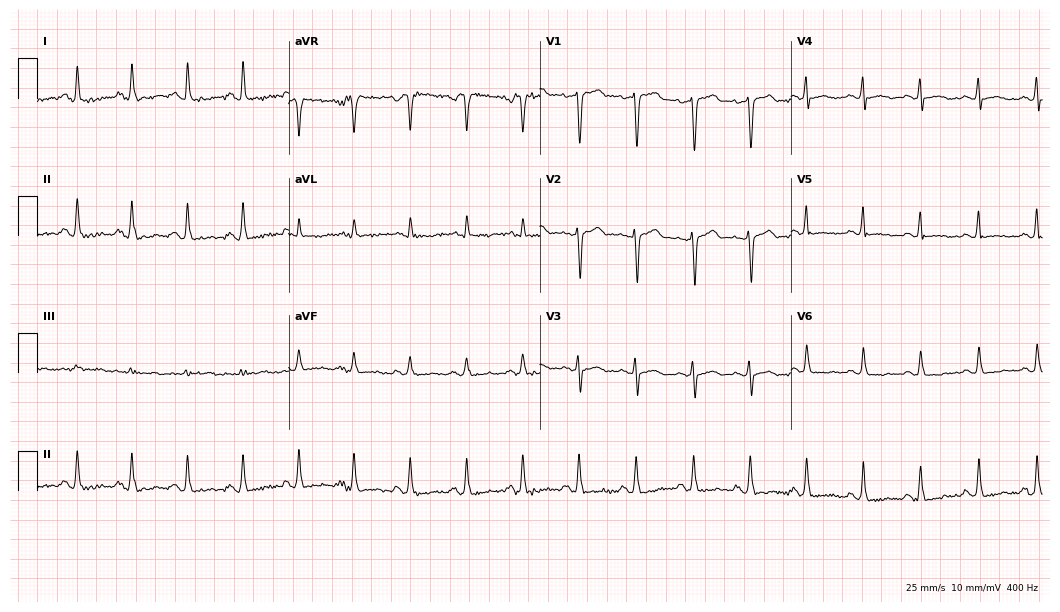
Standard 12-lead ECG recorded from a 49-year-old female patient (10.2-second recording at 400 Hz). The tracing shows sinus tachycardia (a sinus rate of 100 beats per minute or more).